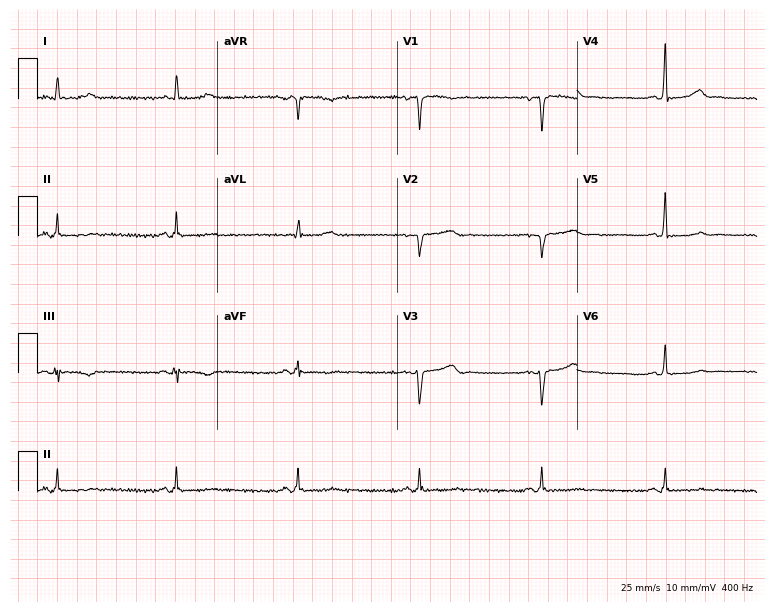
Standard 12-lead ECG recorded from a female patient, 39 years old. Read as a normal ECG.